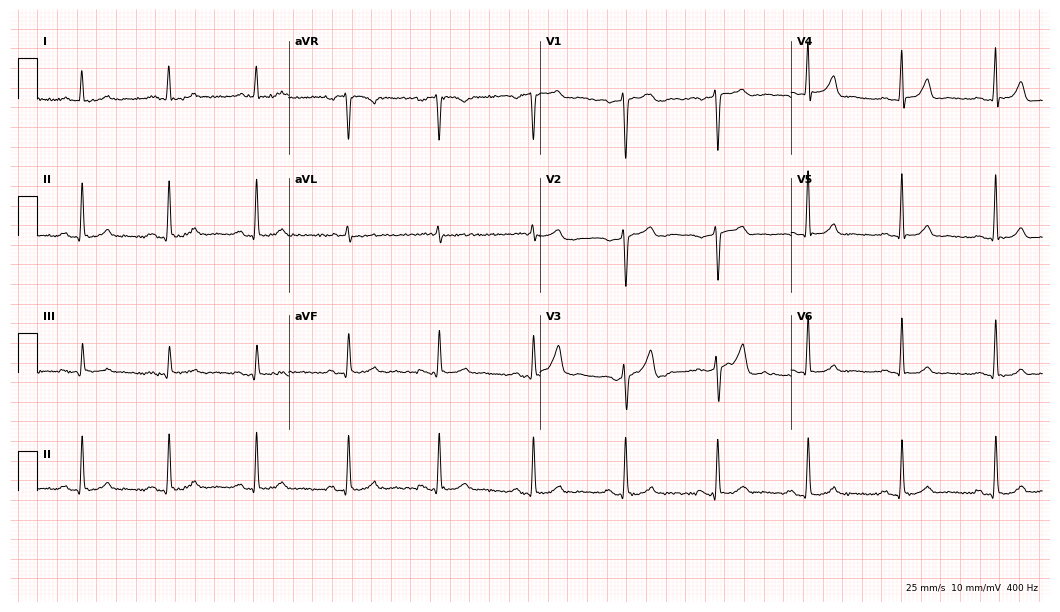
Standard 12-lead ECG recorded from a 49-year-old male patient. Read as a normal ECG.